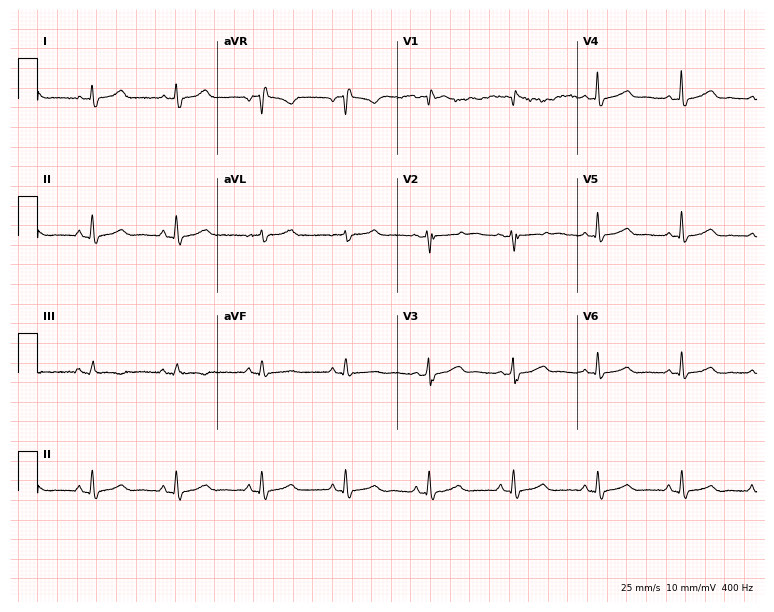
Standard 12-lead ECG recorded from a 44-year-old female. Read as a normal ECG.